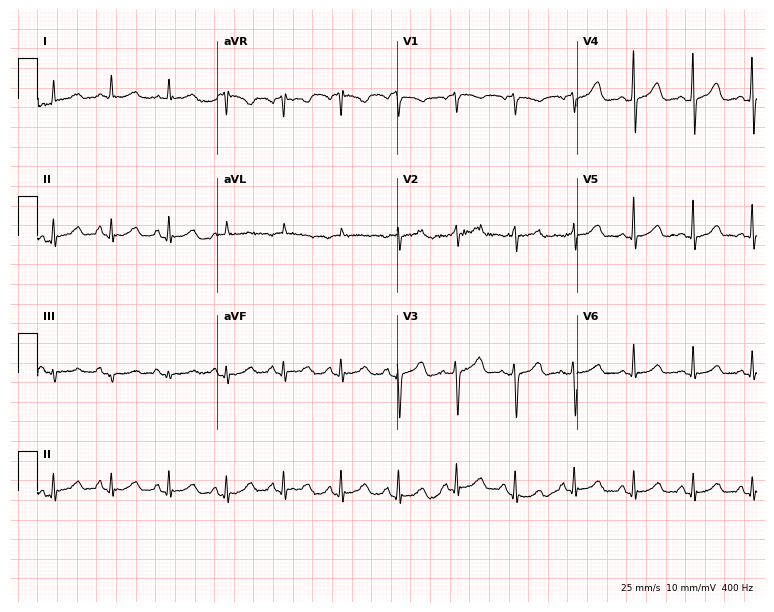
ECG — an 80-year-old female patient. Screened for six findings — first-degree AV block, right bundle branch block, left bundle branch block, sinus bradycardia, atrial fibrillation, sinus tachycardia — none is recorded. Other findings, if any, are not listed.